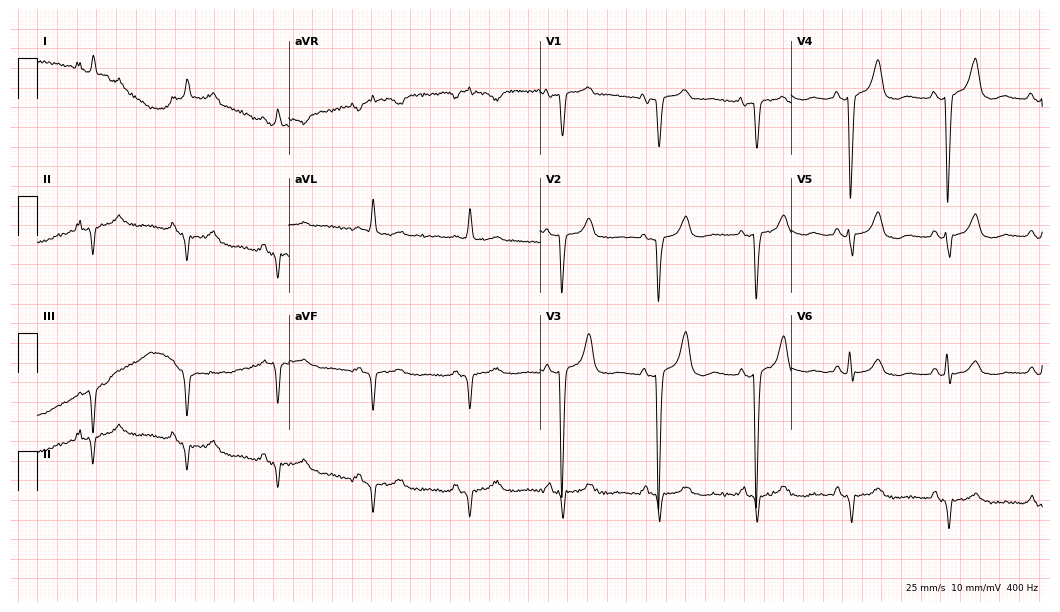
12-lead ECG from an 85-year-old female patient. No first-degree AV block, right bundle branch block, left bundle branch block, sinus bradycardia, atrial fibrillation or sinus tachycardia recorded for this tracing.